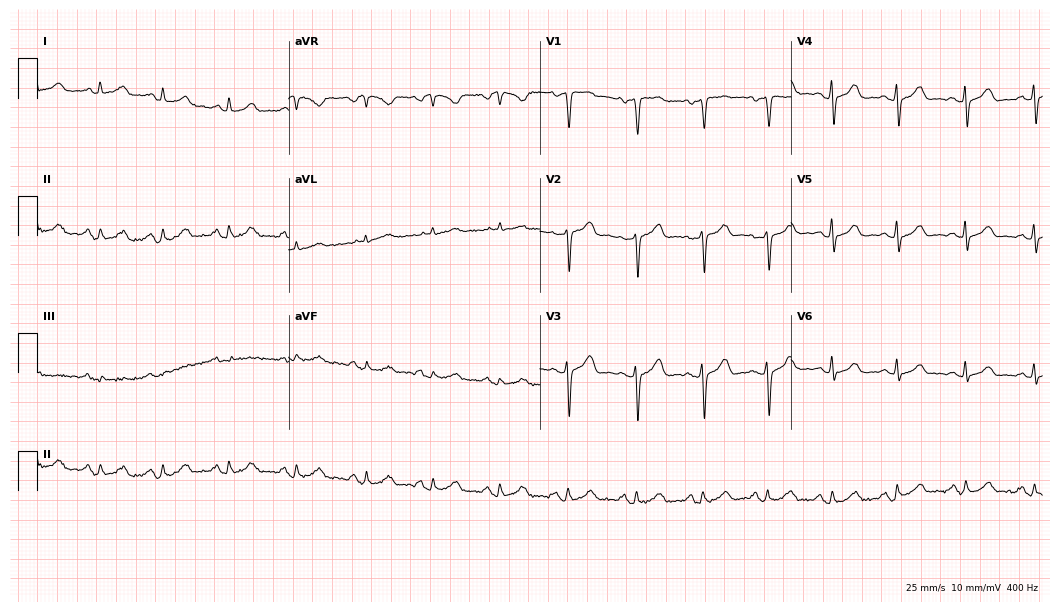
12-lead ECG from a woman, 51 years old (10.2-second recording at 400 Hz). Recorded interpretation: within normal limits.